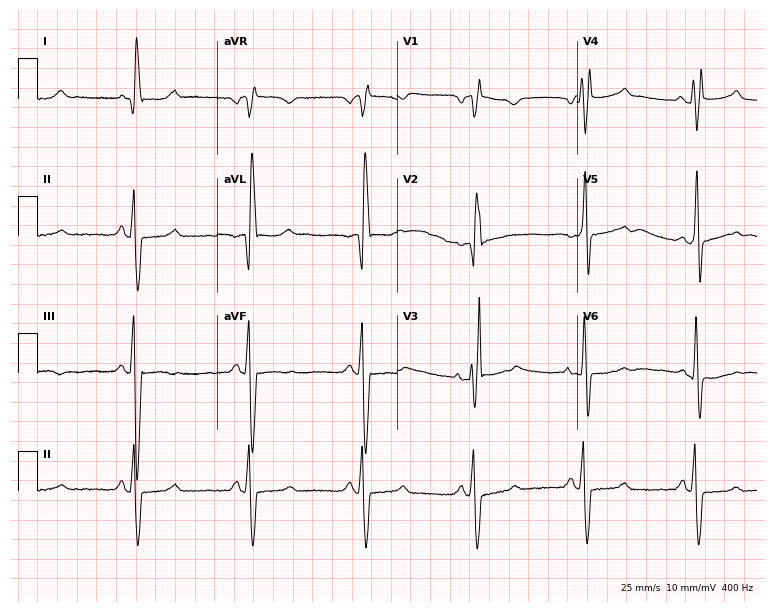
12-lead ECG from a female, 80 years old. No first-degree AV block, right bundle branch block, left bundle branch block, sinus bradycardia, atrial fibrillation or sinus tachycardia recorded for this tracing.